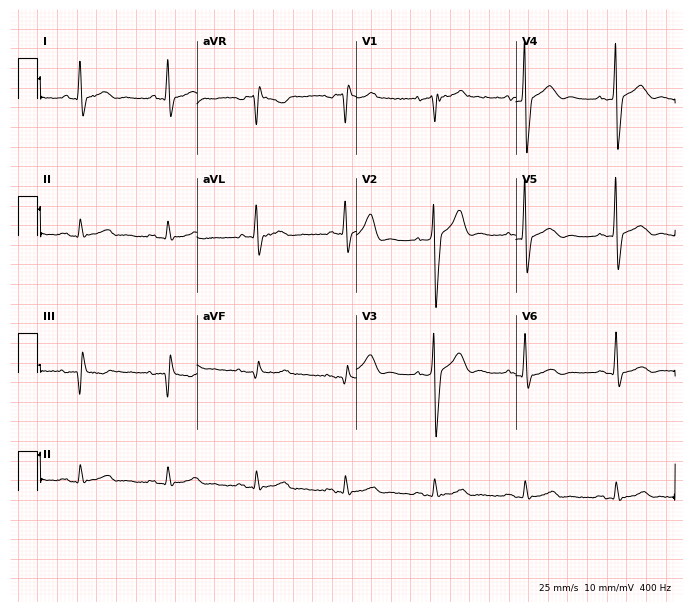
ECG (6.5-second recording at 400 Hz) — a 62-year-old man. Screened for six findings — first-degree AV block, right bundle branch block, left bundle branch block, sinus bradycardia, atrial fibrillation, sinus tachycardia — none is recorded. Findings outside these six are not listed.